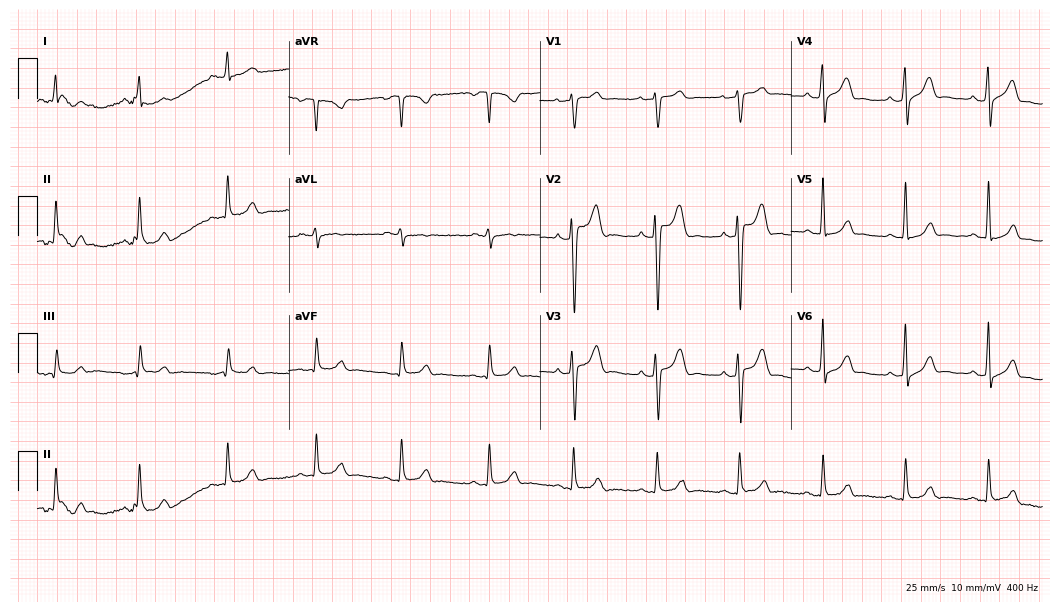
Resting 12-lead electrocardiogram (10.2-second recording at 400 Hz). Patient: a man, 32 years old. None of these six findings is recorded: first-degree AV block, right bundle branch block, left bundle branch block, sinus bradycardia, atrial fibrillation, sinus tachycardia. Only these six findings were labelled.